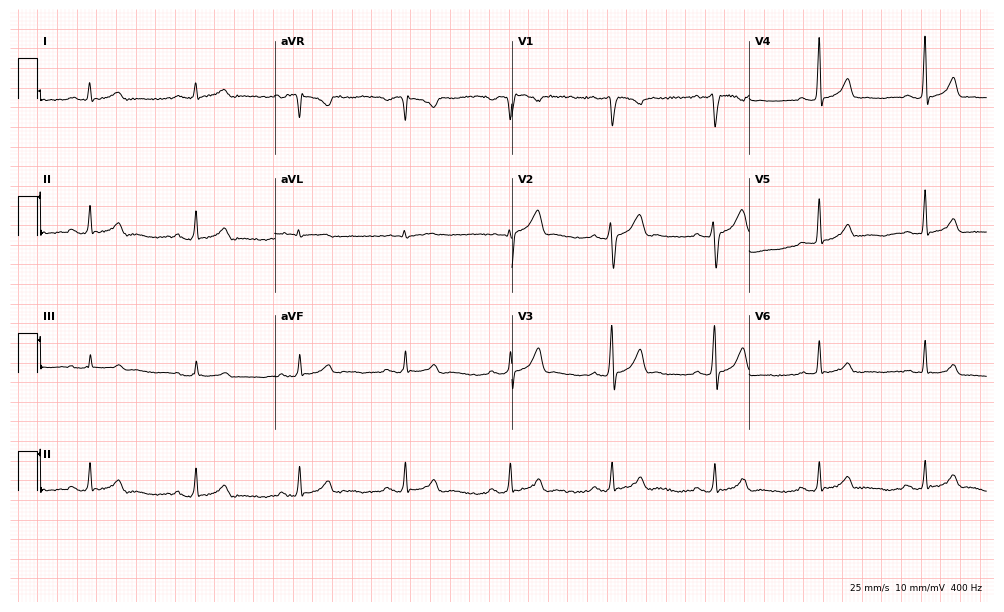
Electrocardiogram, a 27-year-old male. Overall reading on record: normal ECG.